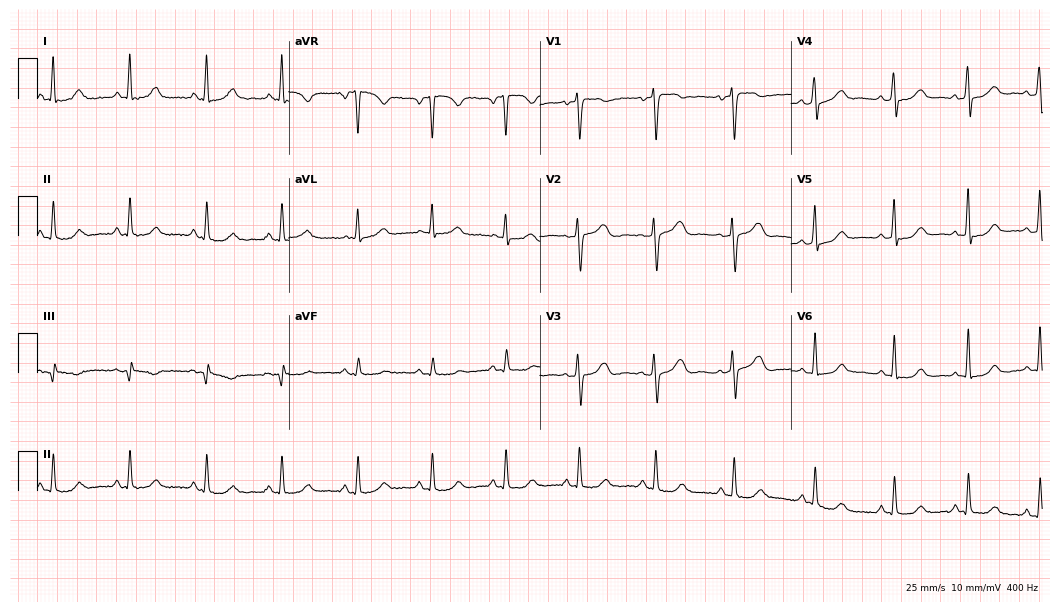
12-lead ECG from a 54-year-old female patient. Labelled as a normal ECG.